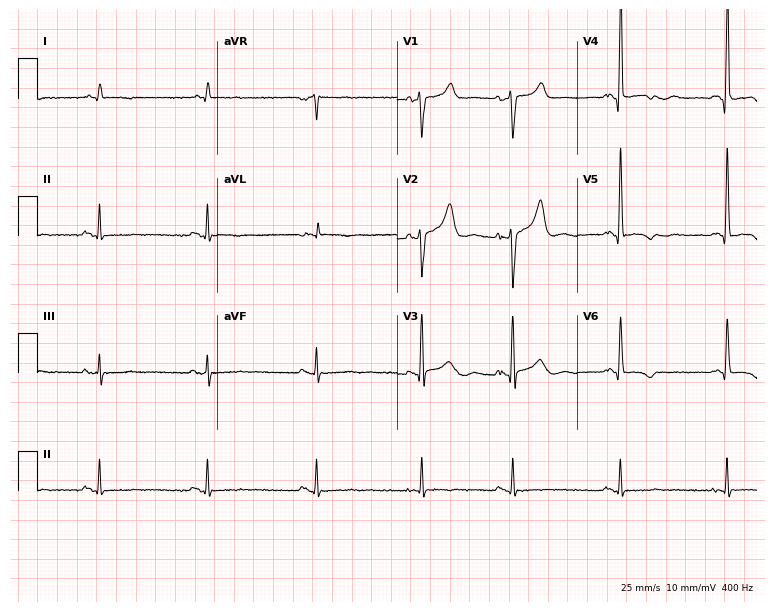
ECG — a 74-year-old male. Screened for six findings — first-degree AV block, right bundle branch block, left bundle branch block, sinus bradycardia, atrial fibrillation, sinus tachycardia — none is recorded.